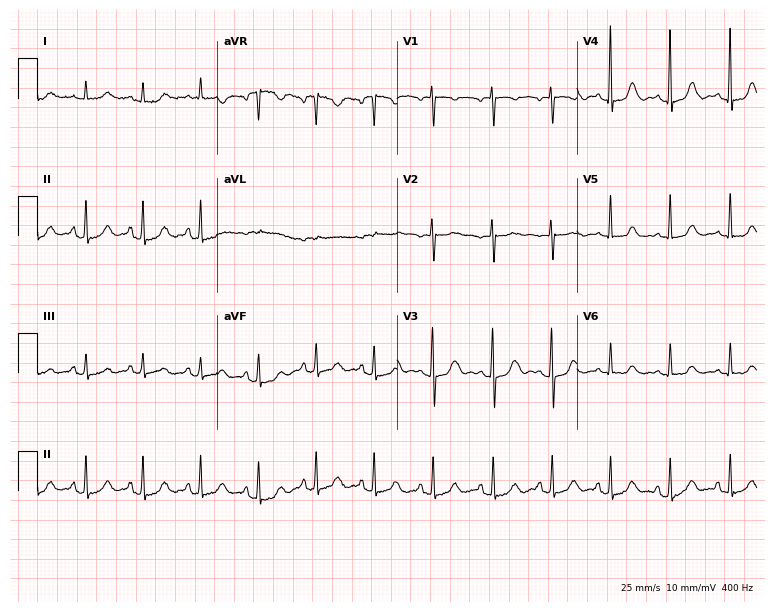
12-lead ECG (7.3-second recording at 400 Hz) from a 74-year-old female. Findings include sinus tachycardia (a sinus rate of 100 beats per minute or more).